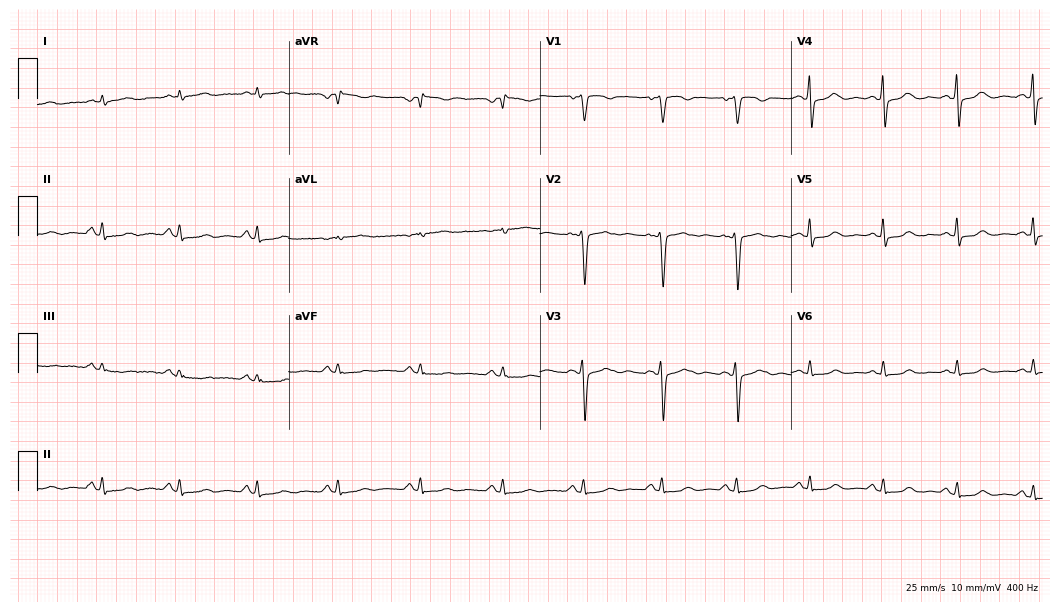
ECG (10.2-second recording at 400 Hz) — a 39-year-old woman. Screened for six findings — first-degree AV block, right bundle branch block (RBBB), left bundle branch block (LBBB), sinus bradycardia, atrial fibrillation (AF), sinus tachycardia — none is recorded. Only these six findings were labelled.